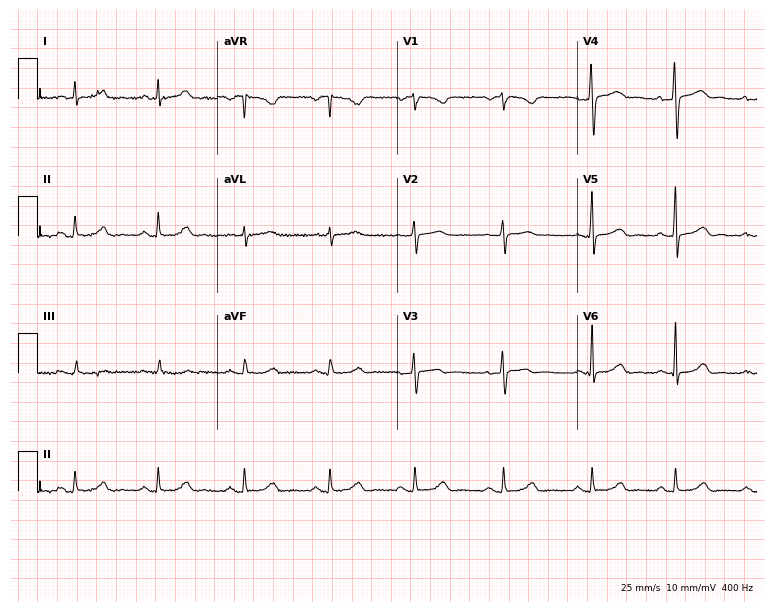
ECG — a 38-year-old female patient. Labelled as a normal ECG.